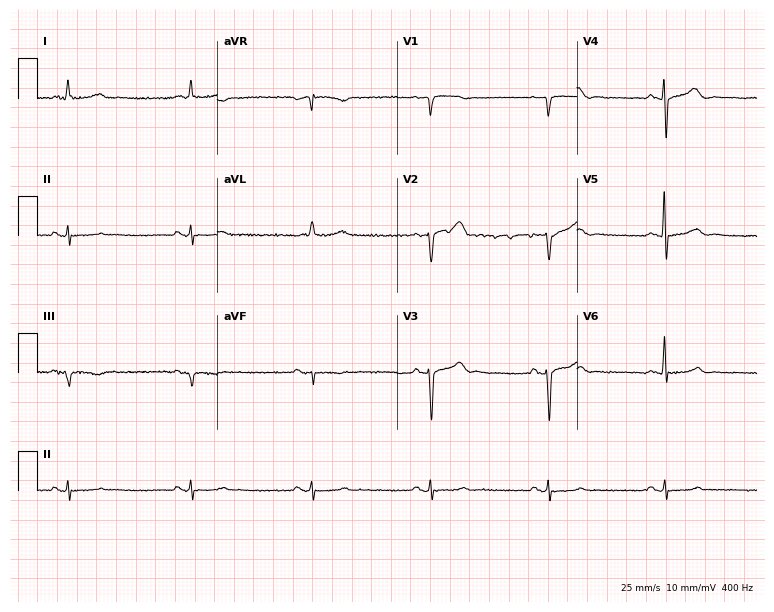
Electrocardiogram (7.3-second recording at 400 Hz), a 79-year-old male patient. Interpretation includes sinus bradycardia (a sinus rate of 50 beats per minute or less).